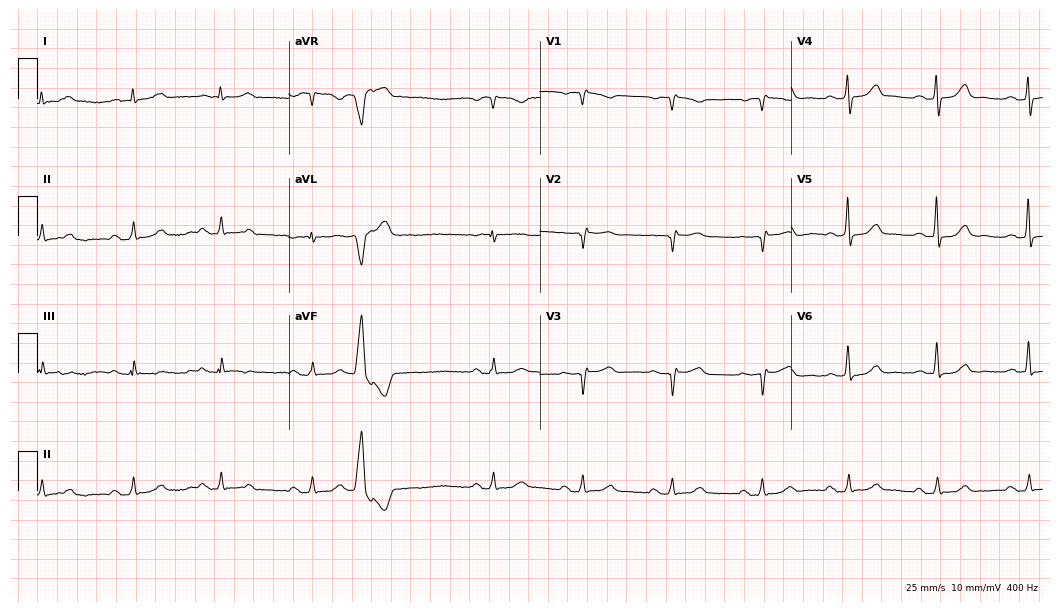
Electrocardiogram (10.2-second recording at 400 Hz), a 62-year-old woman. Interpretation includes first-degree AV block.